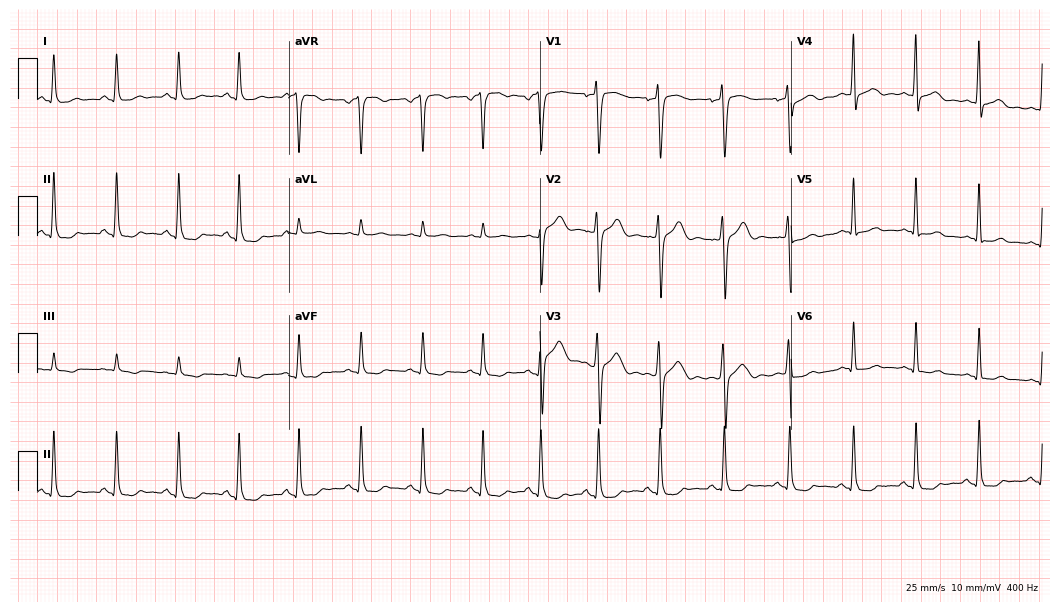
Electrocardiogram, a man, 17 years old. Of the six screened findings (first-degree AV block, right bundle branch block, left bundle branch block, sinus bradycardia, atrial fibrillation, sinus tachycardia), none is recorded. Only these six findings were labelled.